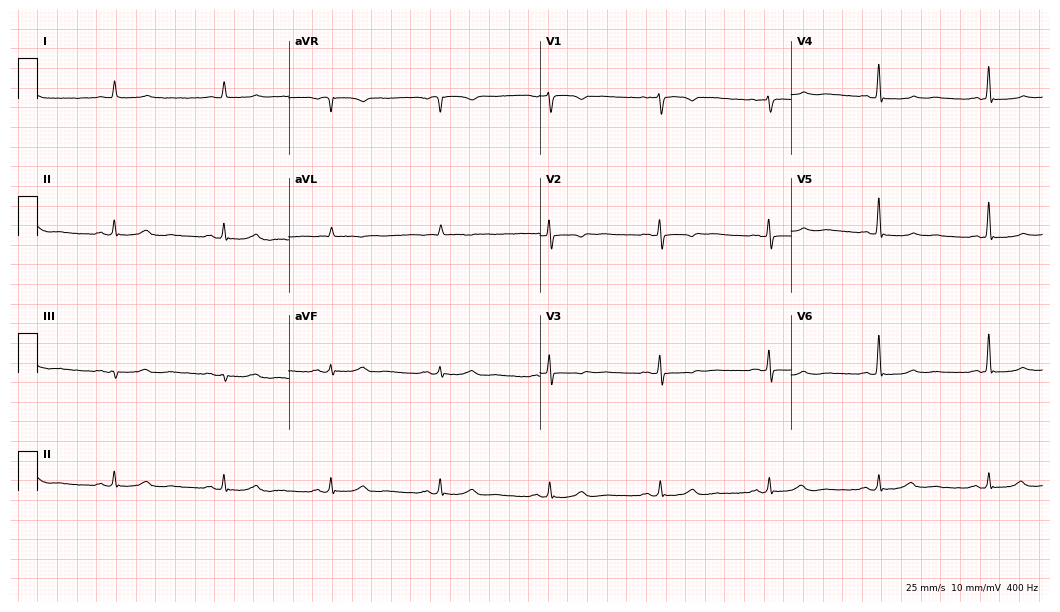
Standard 12-lead ECG recorded from a female patient, 72 years old (10.2-second recording at 400 Hz). None of these six findings is recorded: first-degree AV block, right bundle branch block, left bundle branch block, sinus bradycardia, atrial fibrillation, sinus tachycardia. Only these six findings were labelled.